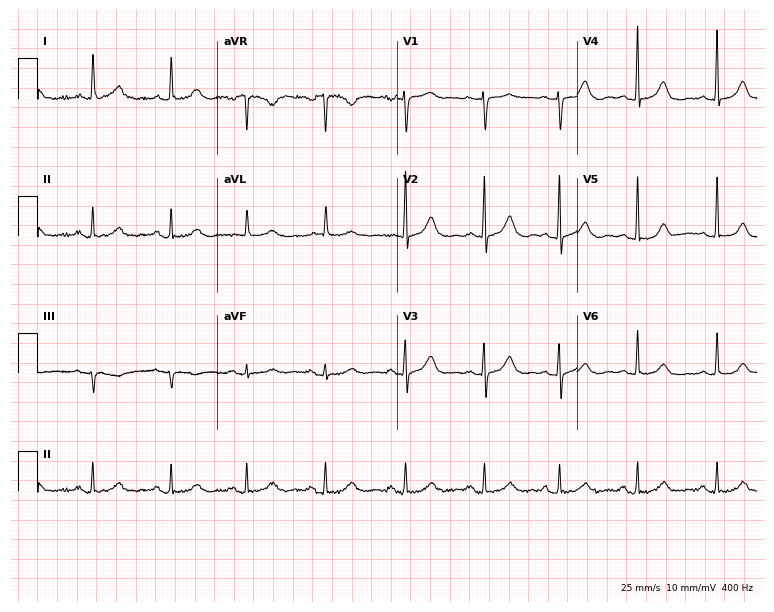
Resting 12-lead electrocardiogram (7.3-second recording at 400 Hz). Patient: a woman, 68 years old. Read as a normal ECG.